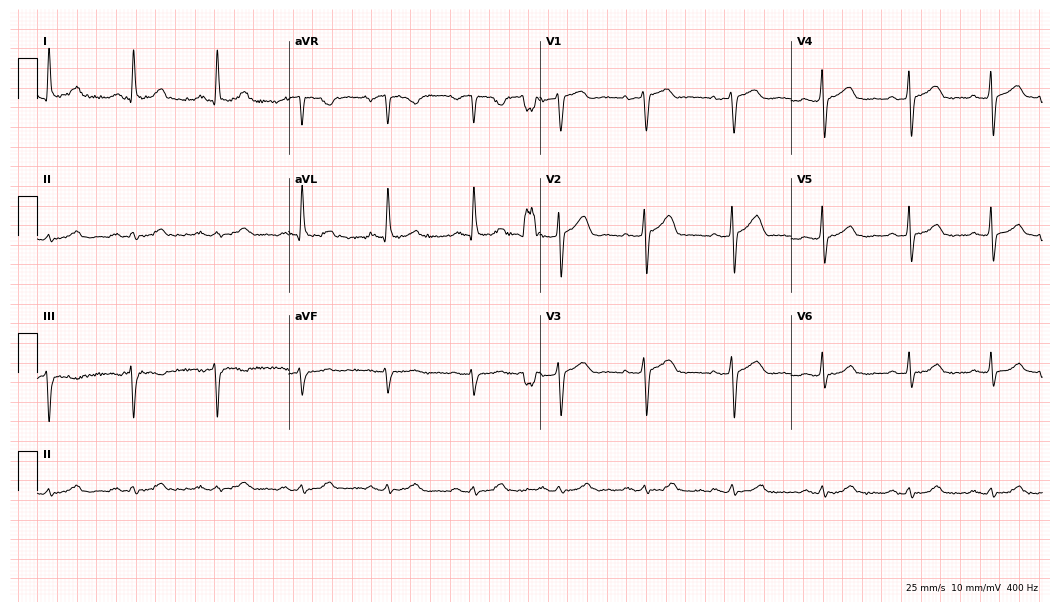
Resting 12-lead electrocardiogram (10.2-second recording at 400 Hz). Patient: a 59-year-old female. None of these six findings is recorded: first-degree AV block, right bundle branch block, left bundle branch block, sinus bradycardia, atrial fibrillation, sinus tachycardia. Findings outside these six are not listed.